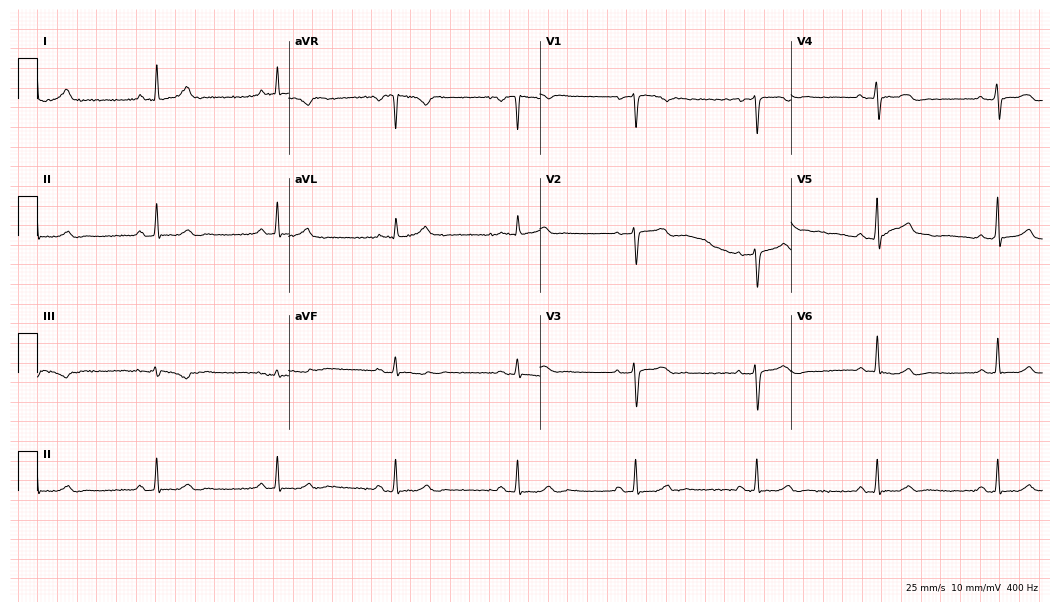
12-lead ECG from a female patient, 52 years old (10.2-second recording at 400 Hz). Recorded interpretation: within normal limits.